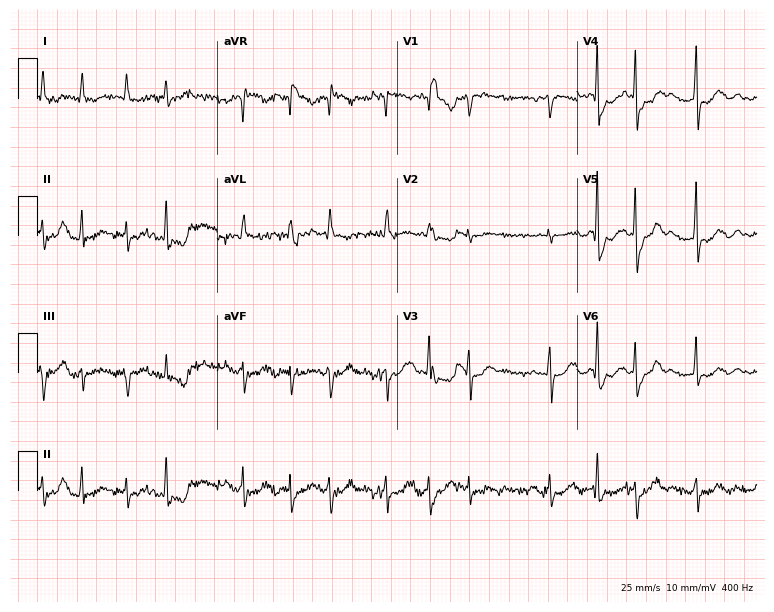
Resting 12-lead electrocardiogram (7.3-second recording at 400 Hz). Patient: a 64-year-old man. None of these six findings is recorded: first-degree AV block, right bundle branch block (RBBB), left bundle branch block (LBBB), sinus bradycardia, atrial fibrillation (AF), sinus tachycardia. Only these six findings were labelled.